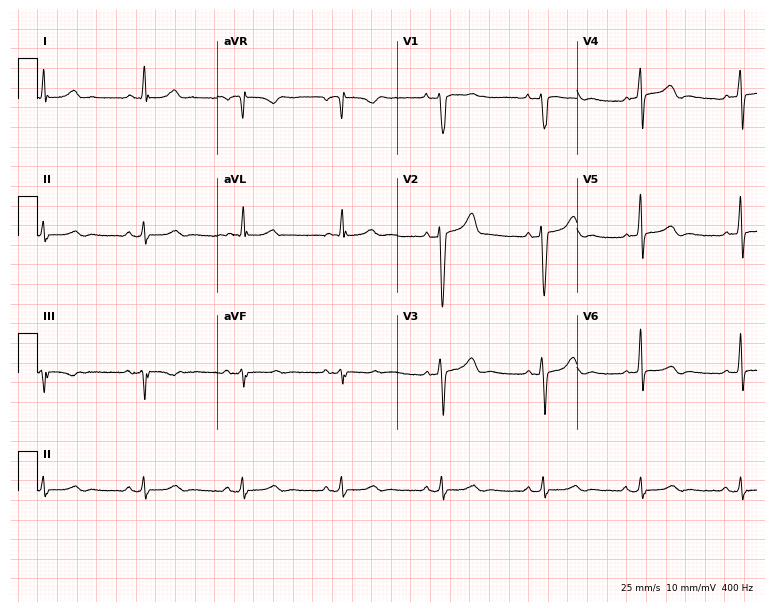
ECG (7.3-second recording at 400 Hz) — a 45-year-old male patient. Screened for six findings — first-degree AV block, right bundle branch block, left bundle branch block, sinus bradycardia, atrial fibrillation, sinus tachycardia — none is recorded.